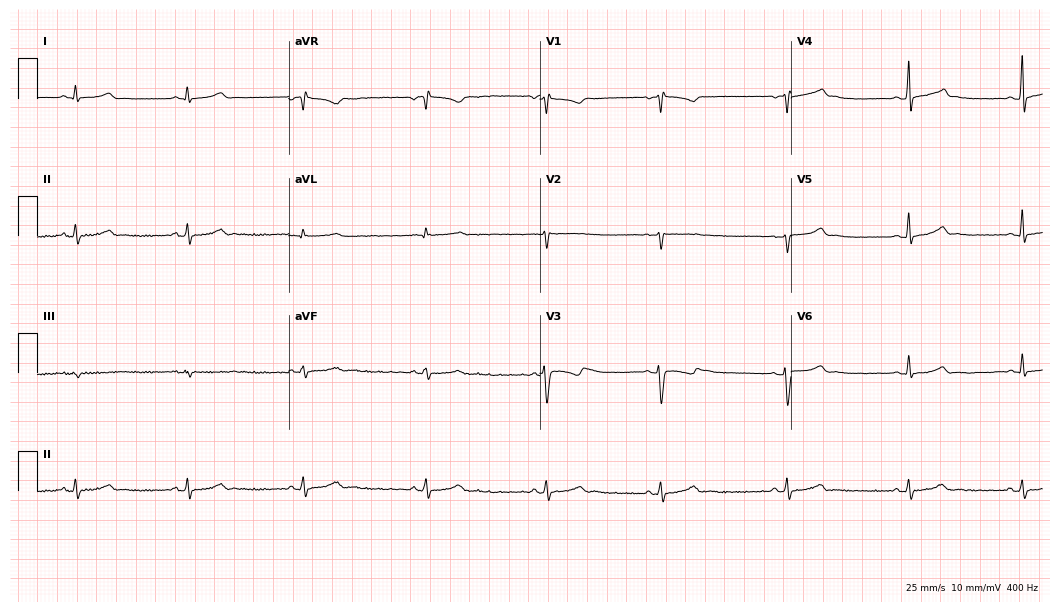
Resting 12-lead electrocardiogram. Patient: a 29-year-old female. None of these six findings is recorded: first-degree AV block, right bundle branch block (RBBB), left bundle branch block (LBBB), sinus bradycardia, atrial fibrillation (AF), sinus tachycardia. Only these six findings were labelled.